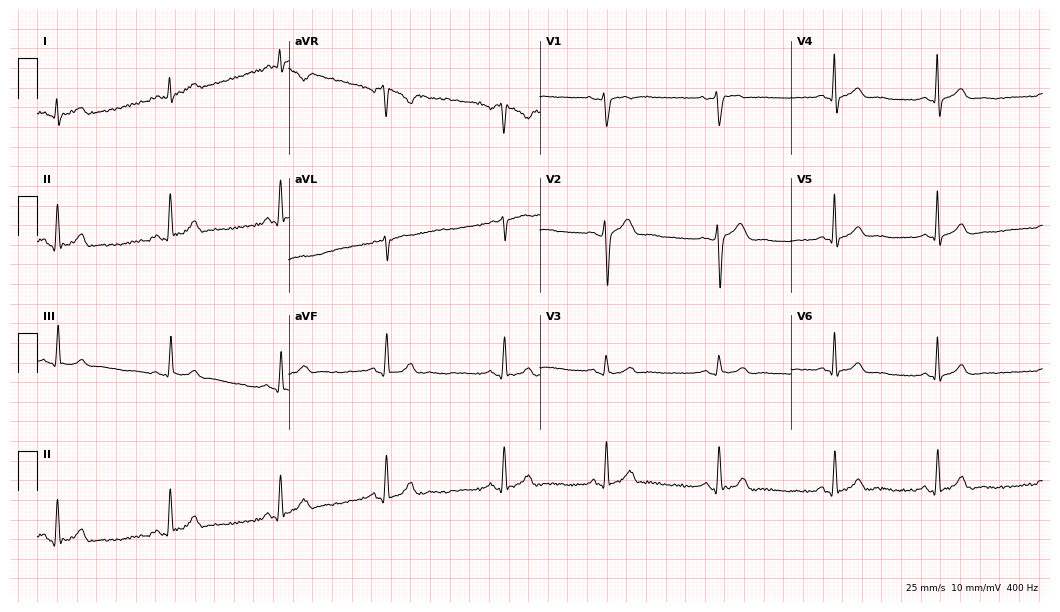
12-lead ECG (10.2-second recording at 400 Hz) from a man, 34 years old. Labelled as a normal ECG.